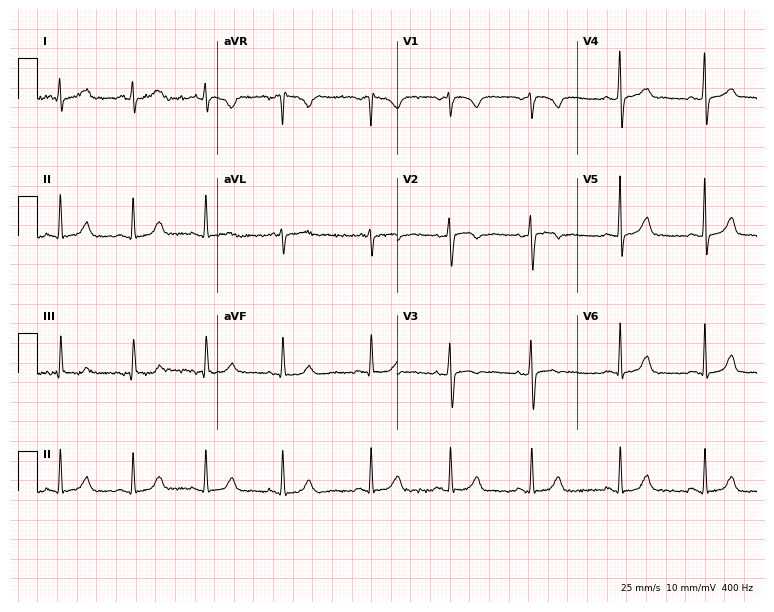
12-lead ECG (7.3-second recording at 400 Hz) from a female patient, 26 years old. Labelled as a normal ECG.